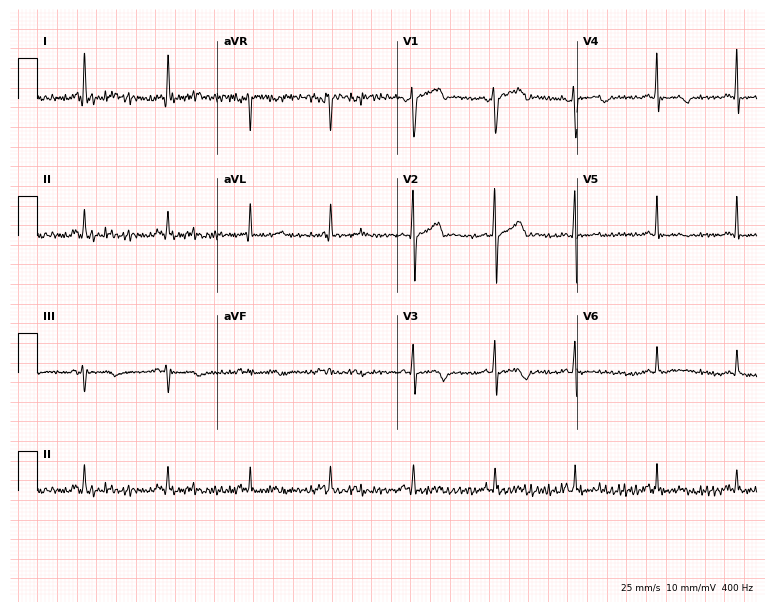
Electrocardiogram (7.3-second recording at 400 Hz), a man, 35 years old. Of the six screened findings (first-degree AV block, right bundle branch block, left bundle branch block, sinus bradycardia, atrial fibrillation, sinus tachycardia), none is recorded. Other findings, if any, are not listed.